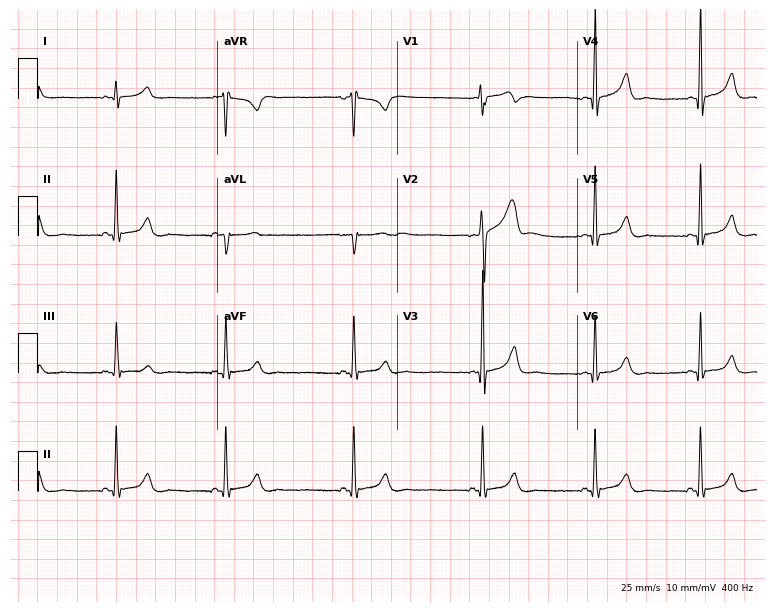
12-lead ECG from a 25-year-old male patient. Shows sinus bradycardia (a sinus rate of 50 beats per minute or less).